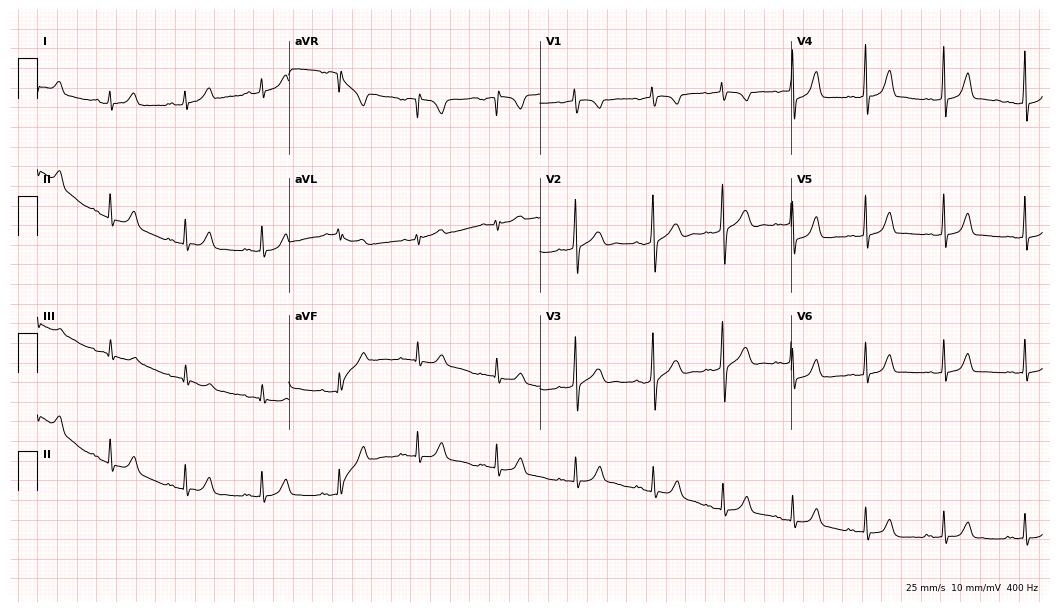
12-lead ECG from a 19-year-old woman. Recorded interpretation: within normal limits.